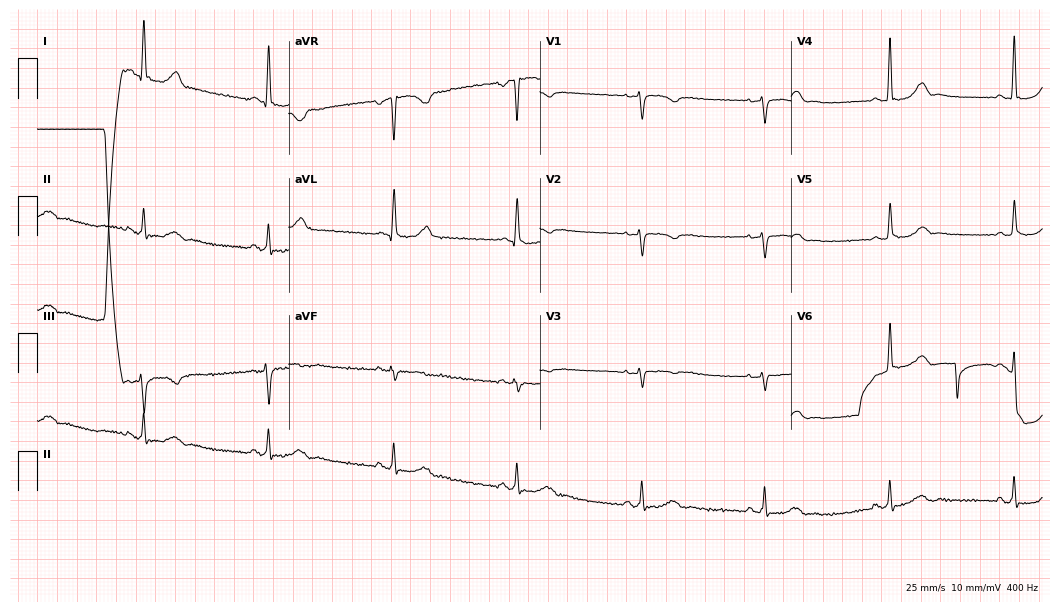
12-lead ECG from a woman, 56 years old. Findings include sinus bradycardia (a sinus rate of 50 beats per minute or less).